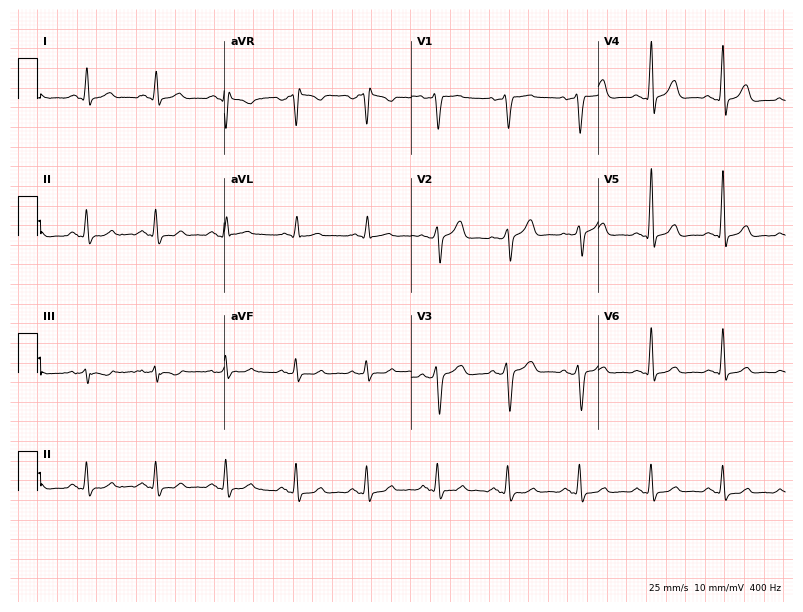
ECG (7.6-second recording at 400 Hz) — a male, 55 years old. Screened for six findings — first-degree AV block, right bundle branch block, left bundle branch block, sinus bradycardia, atrial fibrillation, sinus tachycardia — none is recorded.